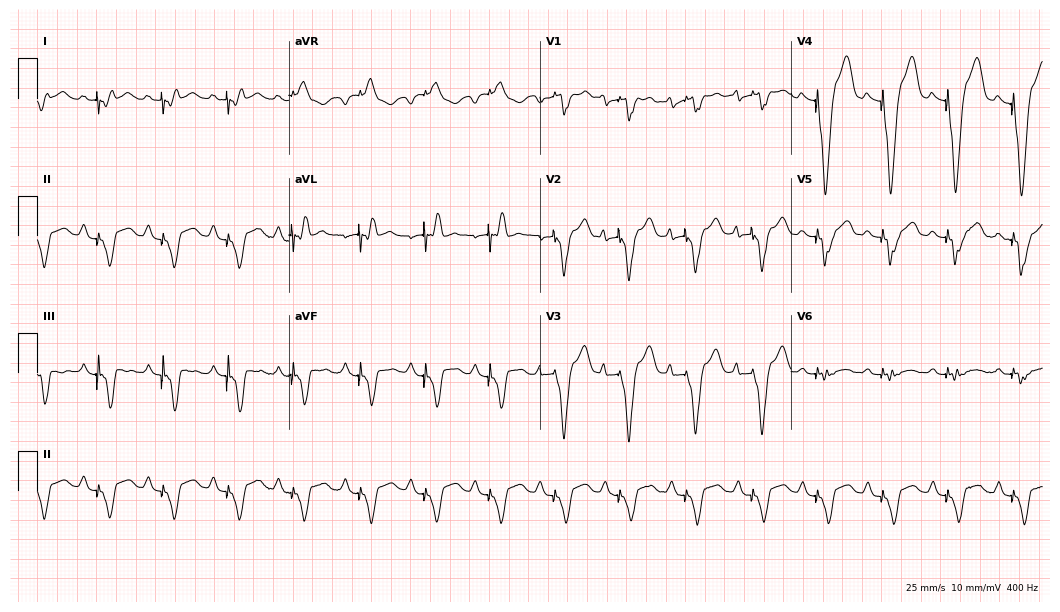
ECG — a 60-year-old female patient. Screened for six findings — first-degree AV block, right bundle branch block (RBBB), left bundle branch block (LBBB), sinus bradycardia, atrial fibrillation (AF), sinus tachycardia — none is recorded. Findings outside these six are not listed.